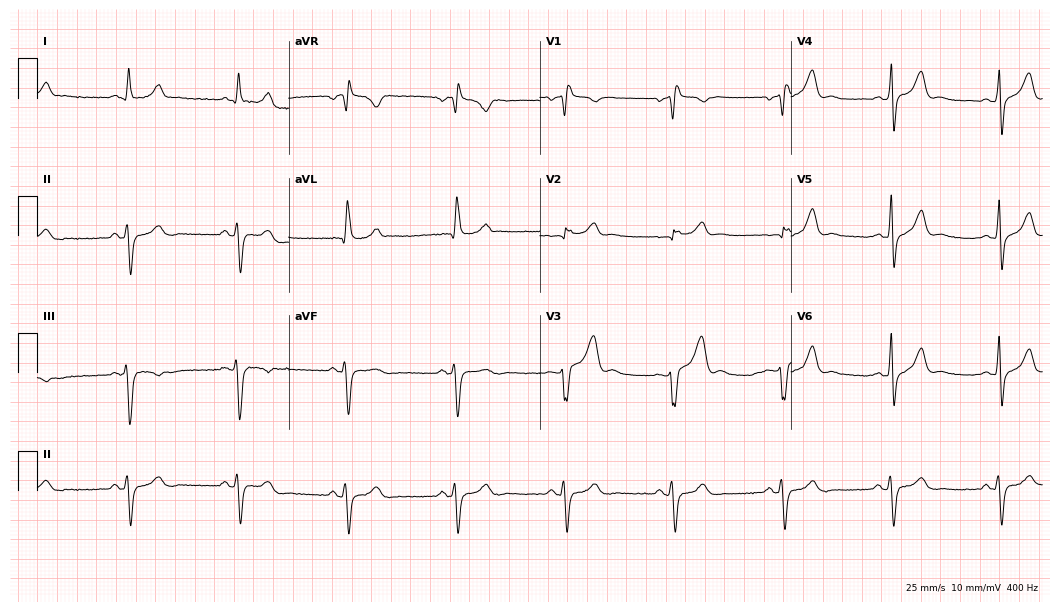
12-lead ECG from a male patient, 52 years old. No first-degree AV block, right bundle branch block, left bundle branch block, sinus bradycardia, atrial fibrillation or sinus tachycardia recorded for this tracing.